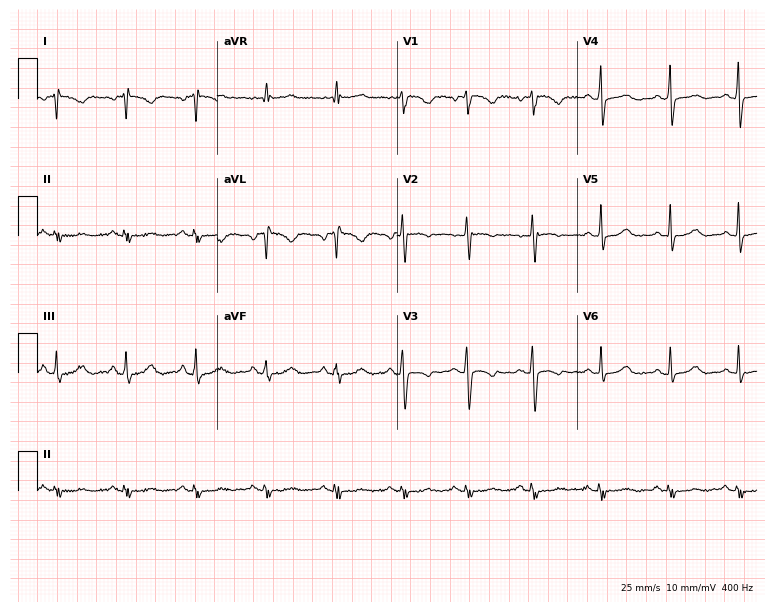
12-lead ECG from a 45-year-old female (7.3-second recording at 400 Hz). No first-degree AV block, right bundle branch block, left bundle branch block, sinus bradycardia, atrial fibrillation or sinus tachycardia recorded for this tracing.